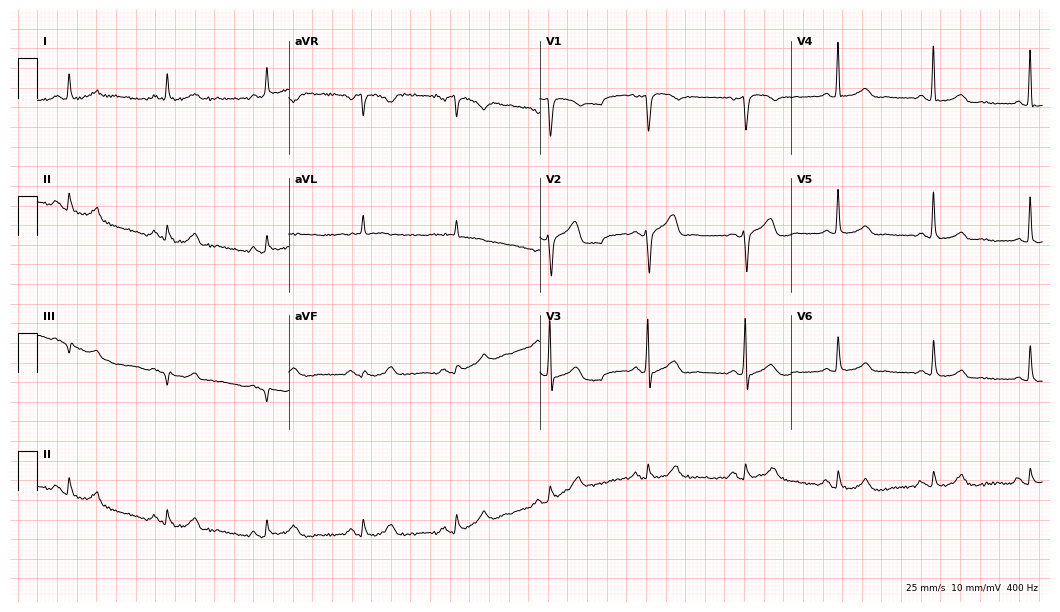
Electrocardiogram, an 85-year-old male patient. Overall reading on record: normal ECG.